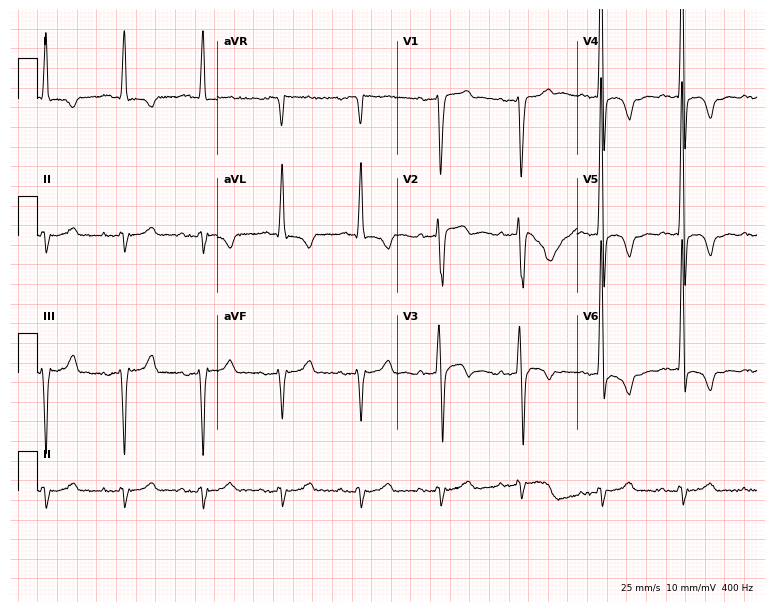
ECG (7.3-second recording at 400 Hz) — a 65-year-old male. Screened for six findings — first-degree AV block, right bundle branch block (RBBB), left bundle branch block (LBBB), sinus bradycardia, atrial fibrillation (AF), sinus tachycardia — none is recorded. Only these six findings were labelled.